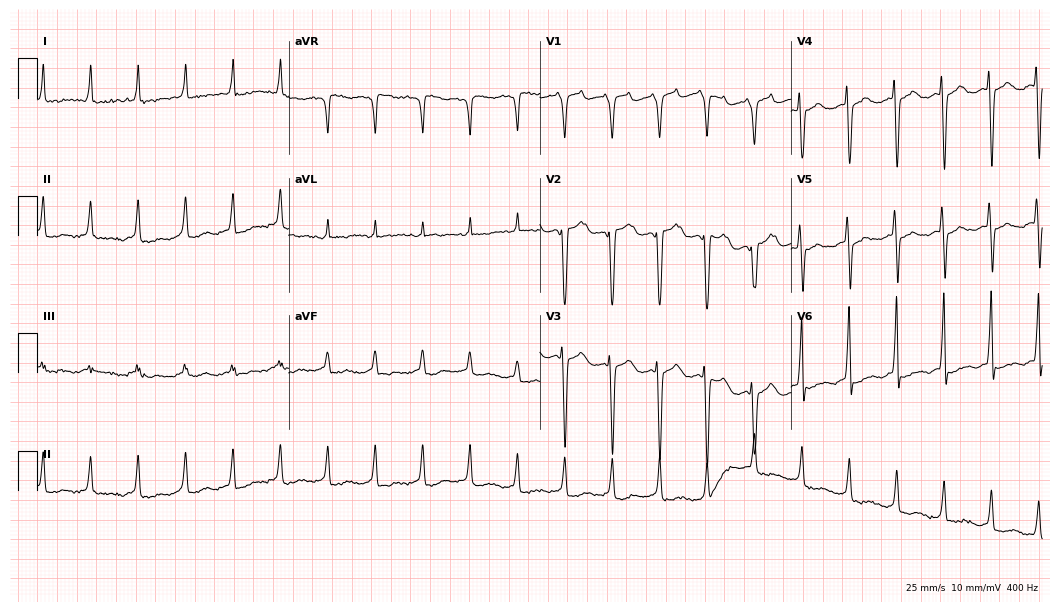
Electrocardiogram, a 77-year-old woman. Of the six screened findings (first-degree AV block, right bundle branch block, left bundle branch block, sinus bradycardia, atrial fibrillation, sinus tachycardia), none is recorded.